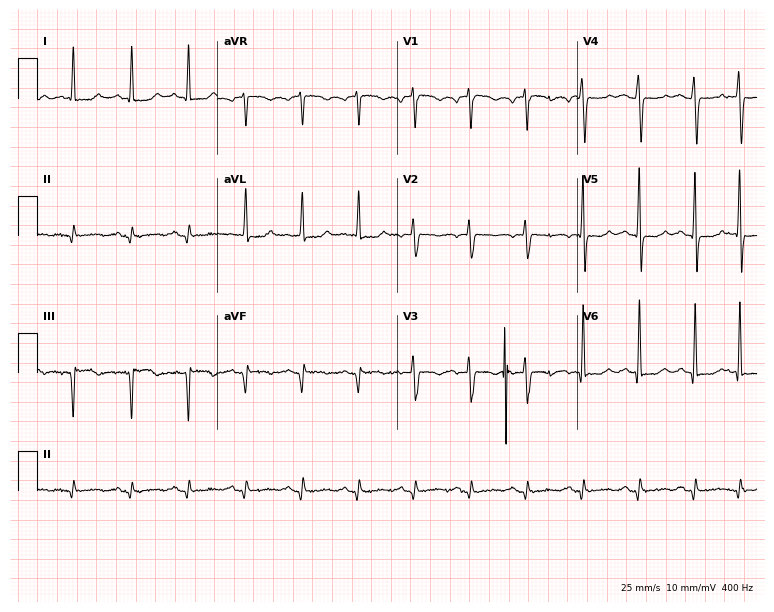
ECG (7.3-second recording at 400 Hz) — a female patient, 84 years old. Findings include sinus tachycardia (a sinus rate of 100 beats per minute or more).